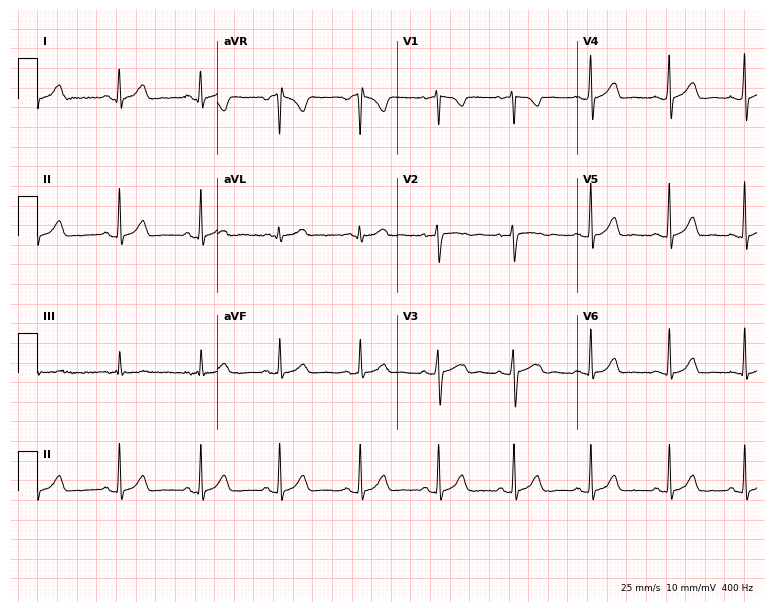
Resting 12-lead electrocardiogram (7.3-second recording at 400 Hz). Patient: a woman, 33 years old. Read as a normal ECG.